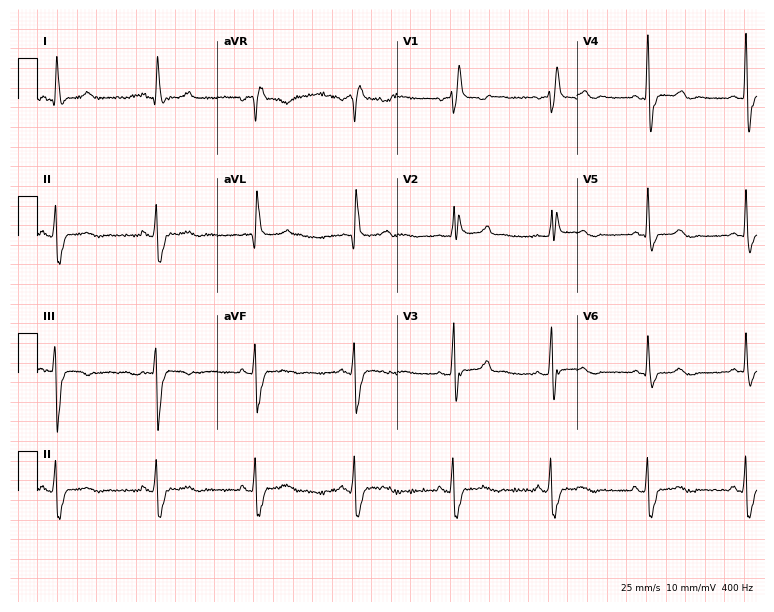
Standard 12-lead ECG recorded from a female, 62 years old (7.3-second recording at 400 Hz). The tracing shows right bundle branch block (RBBB).